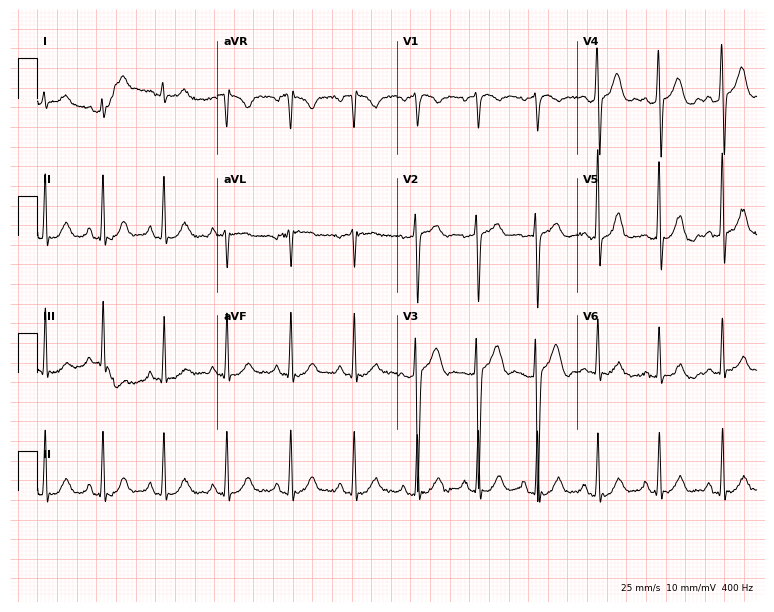
ECG (7.3-second recording at 400 Hz) — a 30-year-old man. Screened for six findings — first-degree AV block, right bundle branch block (RBBB), left bundle branch block (LBBB), sinus bradycardia, atrial fibrillation (AF), sinus tachycardia — none is recorded.